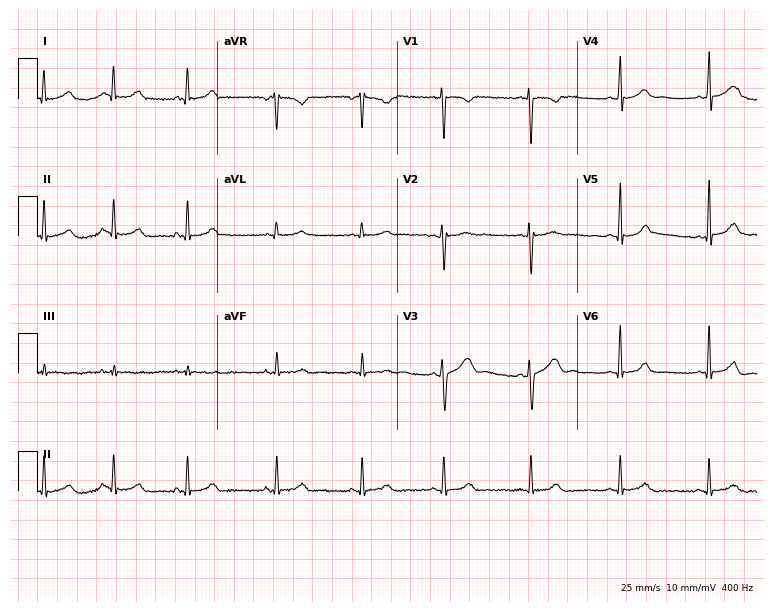
12-lead ECG from a 40-year-old female (7.3-second recording at 400 Hz). Recorded interpretation: within normal limits.